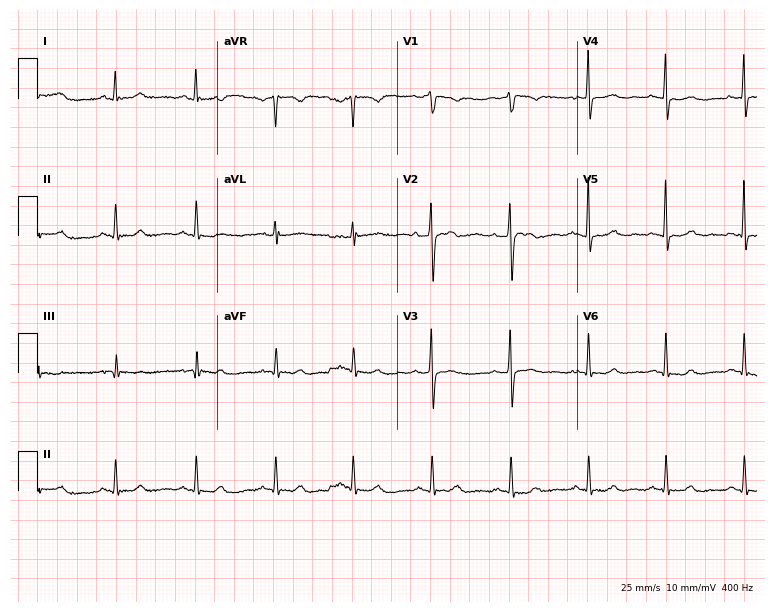
12-lead ECG from a woman, 48 years old. No first-degree AV block, right bundle branch block, left bundle branch block, sinus bradycardia, atrial fibrillation or sinus tachycardia recorded for this tracing.